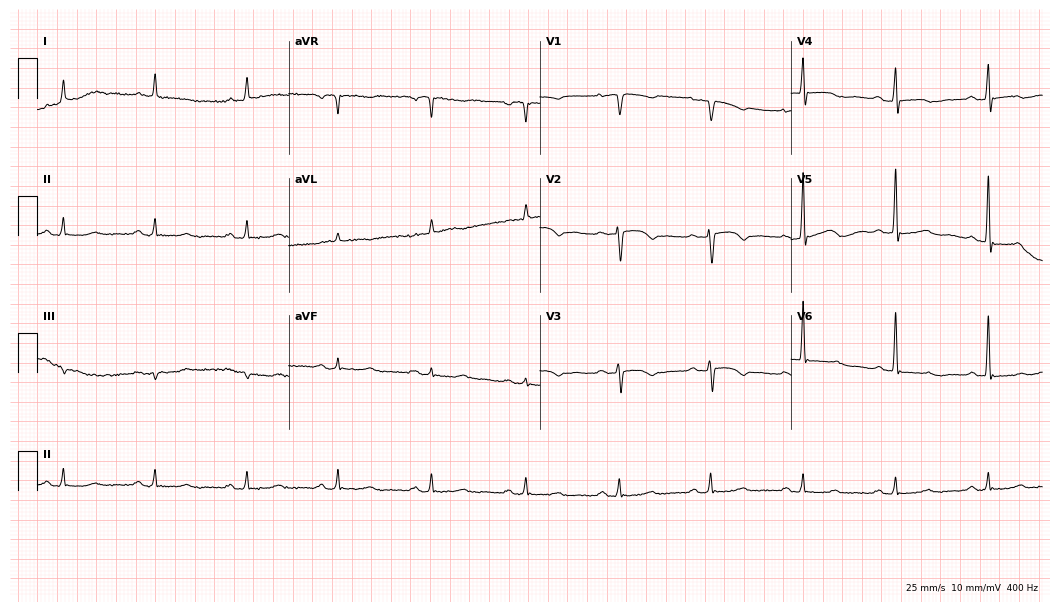
12-lead ECG (10.2-second recording at 400 Hz) from a 71-year-old female patient. Screened for six findings — first-degree AV block, right bundle branch block, left bundle branch block, sinus bradycardia, atrial fibrillation, sinus tachycardia — none is recorded. Findings outside these six are not listed.